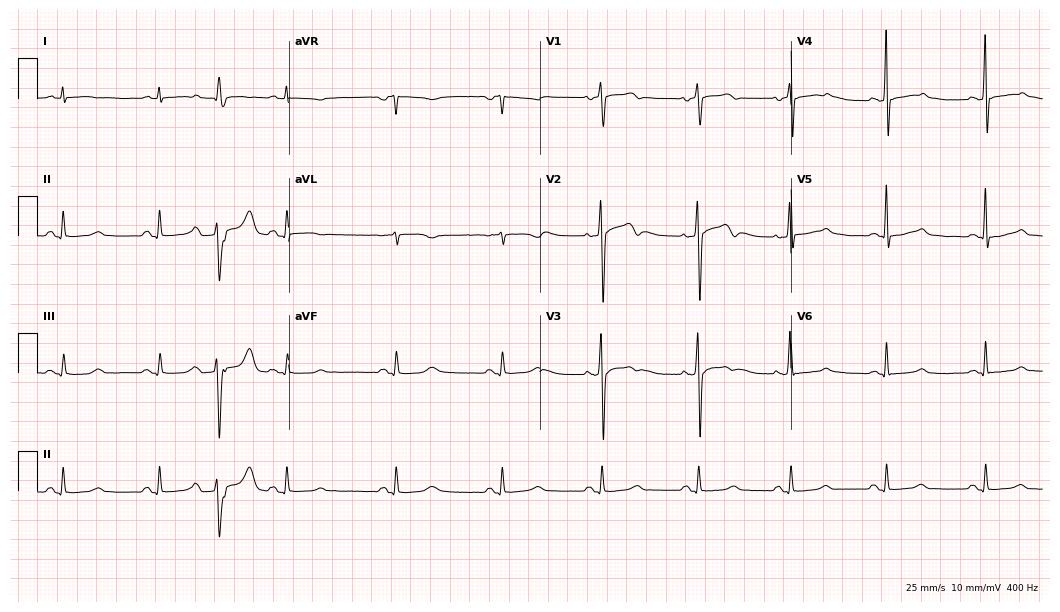
Standard 12-lead ECG recorded from a 53-year-old male (10.2-second recording at 400 Hz). None of these six findings is recorded: first-degree AV block, right bundle branch block, left bundle branch block, sinus bradycardia, atrial fibrillation, sinus tachycardia.